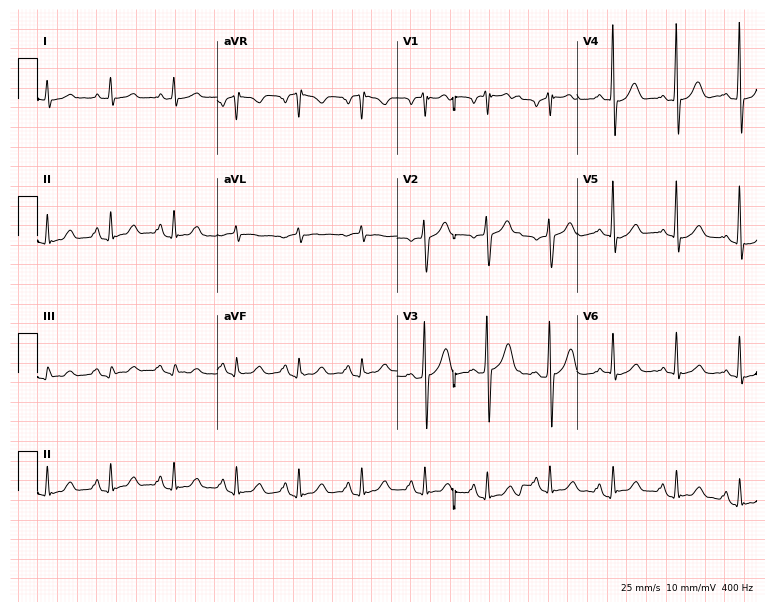
Electrocardiogram (7.3-second recording at 400 Hz), a 57-year-old man. Of the six screened findings (first-degree AV block, right bundle branch block (RBBB), left bundle branch block (LBBB), sinus bradycardia, atrial fibrillation (AF), sinus tachycardia), none is recorded.